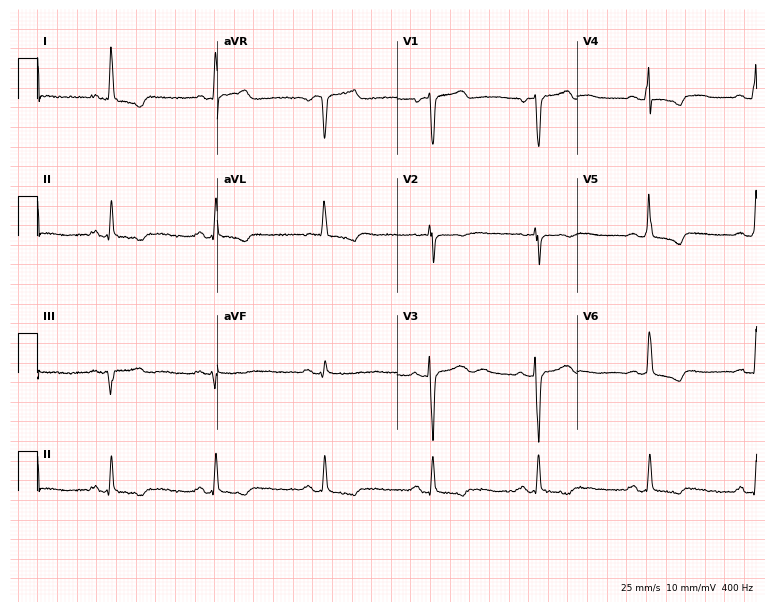
ECG (7.3-second recording at 400 Hz) — a woman, 68 years old. Screened for six findings — first-degree AV block, right bundle branch block (RBBB), left bundle branch block (LBBB), sinus bradycardia, atrial fibrillation (AF), sinus tachycardia — none is recorded. Other findings, if any, are not listed.